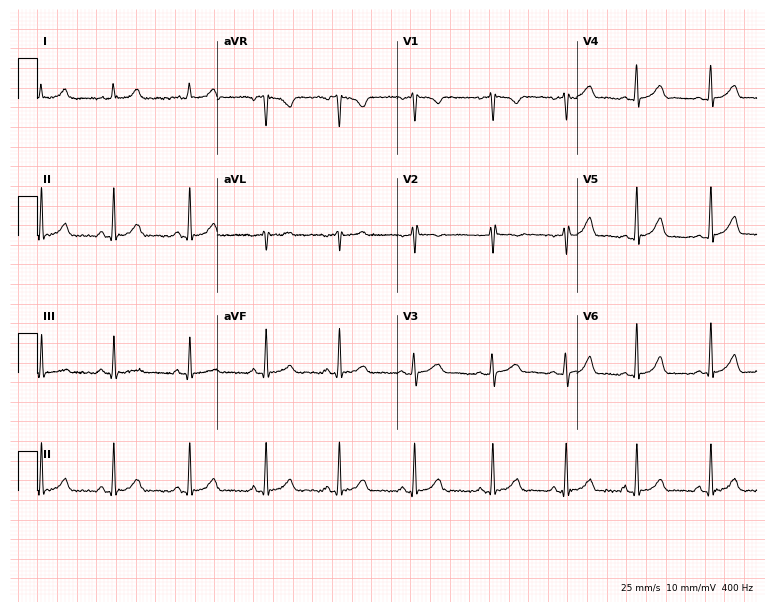
ECG (7.3-second recording at 400 Hz) — a 30-year-old female. Labelled as a normal ECG.